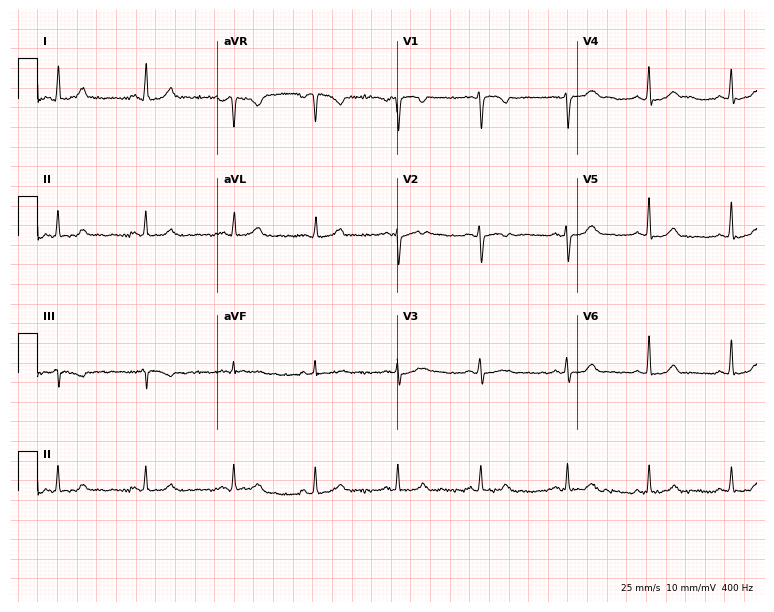
Resting 12-lead electrocardiogram (7.3-second recording at 400 Hz). Patient: a 29-year-old woman. Read as a normal ECG.